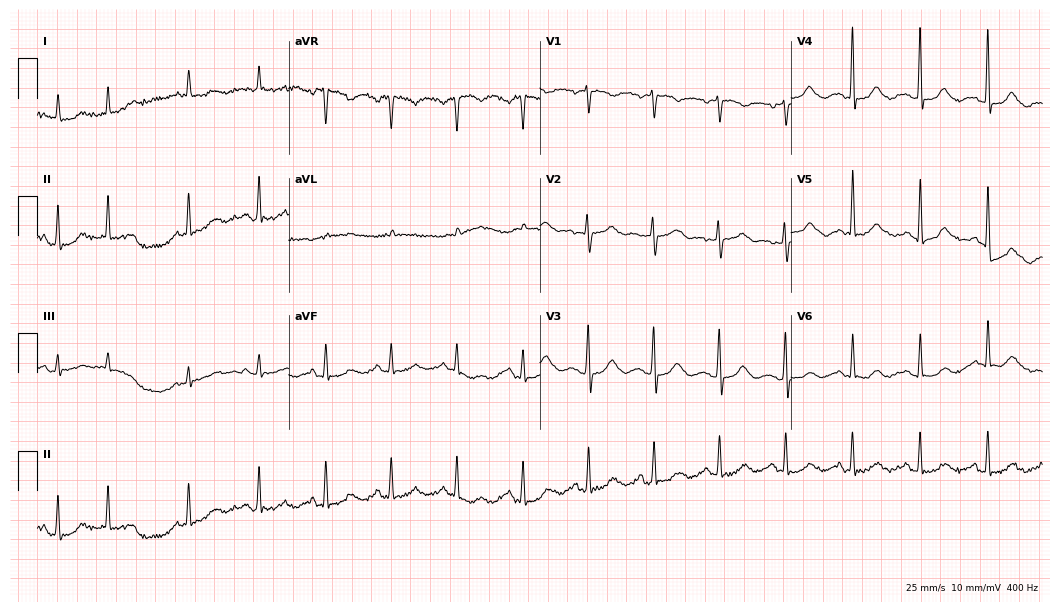
Standard 12-lead ECG recorded from a female, 78 years old (10.2-second recording at 400 Hz). None of these six findings is recorded: first-degree AV block, right bundle branch block, left bundle branch block, sinus bradycardia, atrial fibrillation, sinus tachycardia. Findings outside these six are not listed.